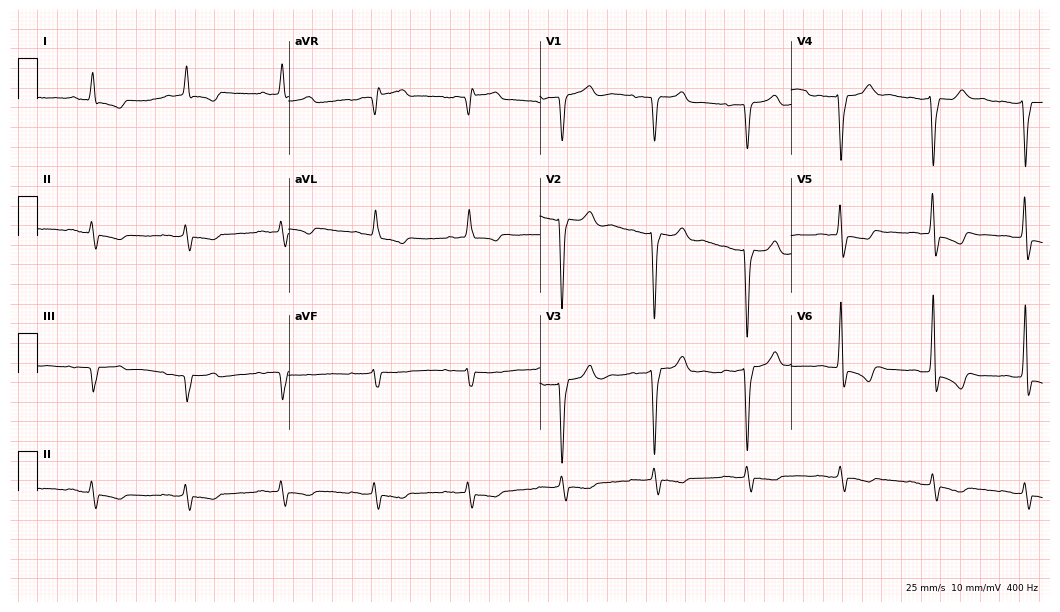
12-lead ECG from a male, 83 years old. No first-degree AV block, right bundle branch block (RBBB), left bundle branch block (LBBB), sinus bradycardia, atrial fibrillation (AF) or sinus tachycardia recorded for this tracing.